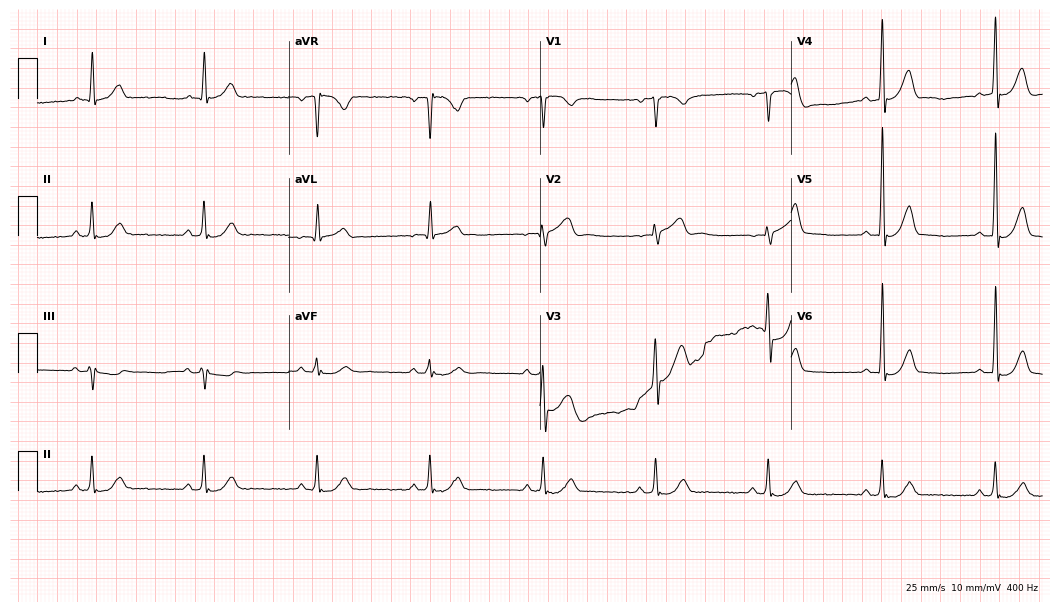
Resting 12-lead electrocardiogram. Patient: a 69-year-old male. Read as a normal ECG.